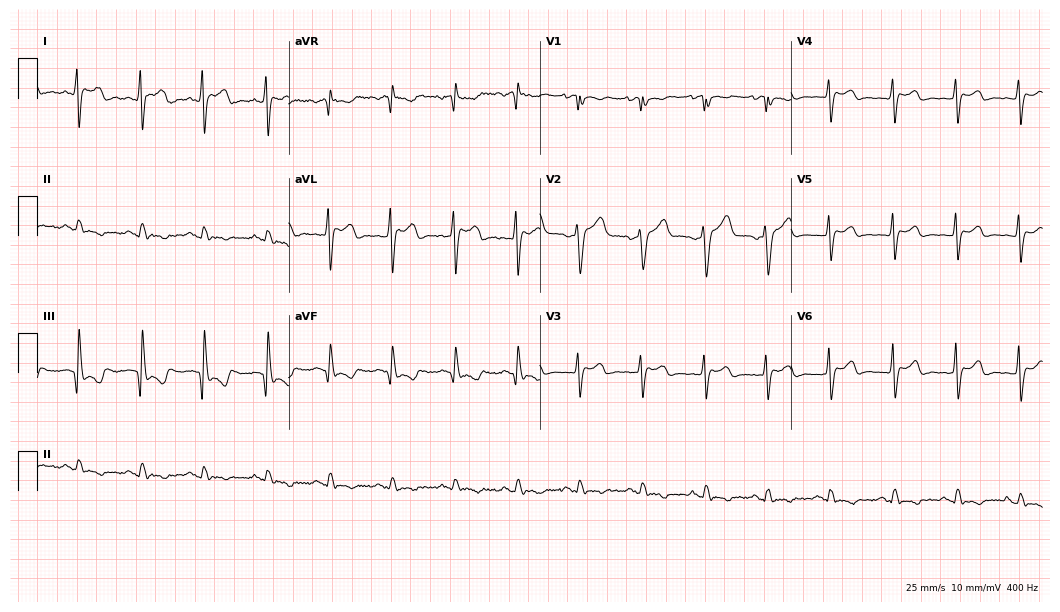
ECG (10.2-second recording at 400 Hz) — a male patient, 68 years old. Screened for six findings — first-degree AV block, right bundle branch block, left bundle branch block, sinus bradycardia, atrial fibrillation, sinus tachycardia — none is recorded. Findings outside these six are not listed.